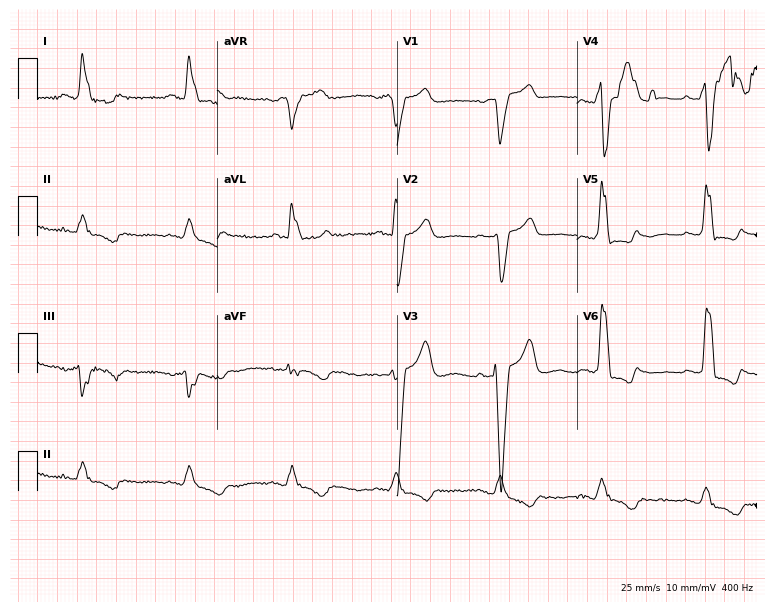
ECG (7.3-second recording at 400 Hz) — a 70-year-old male. Findings include left bundle branch block.